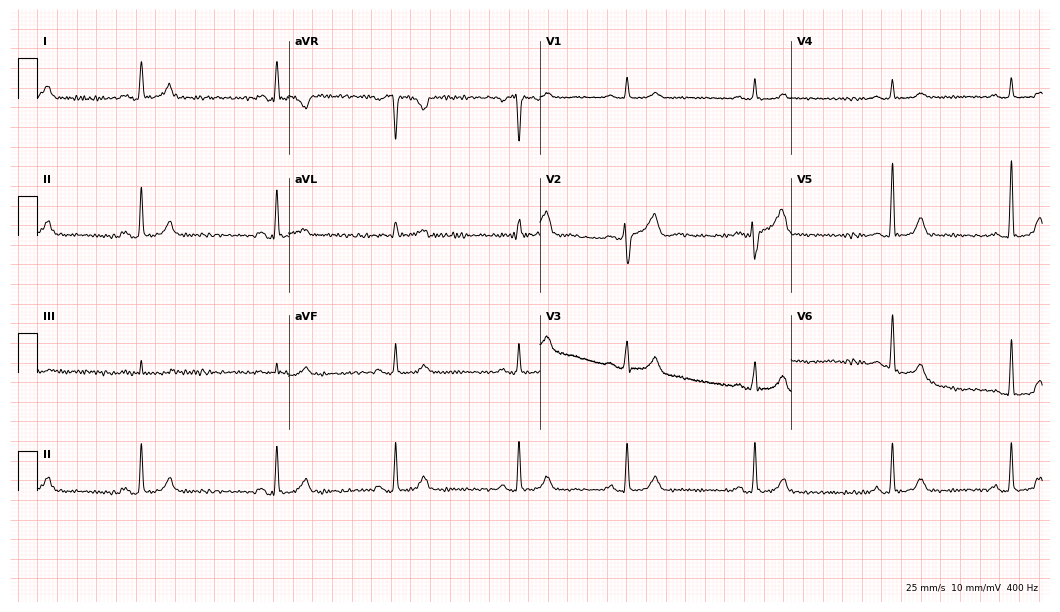
12-lead ECG (10.2-second recording at 400 Hz) from a 47-year-old female patient. Screened for six findings — first-degree AV block, right bundle branch block, left bundle branch block, sinus bradycardia, atrial fibrillation, sinus tachycardia — none is recorded. Other findings, if any, are not listed.